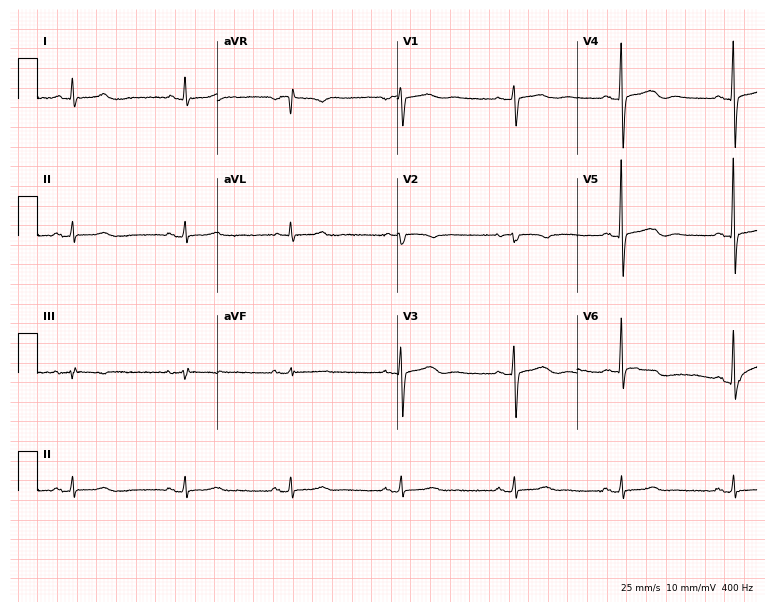
ECG (7.3-second recording at 400 Hz) — a female patient, 68 years old. Labelled as a normal ECG.